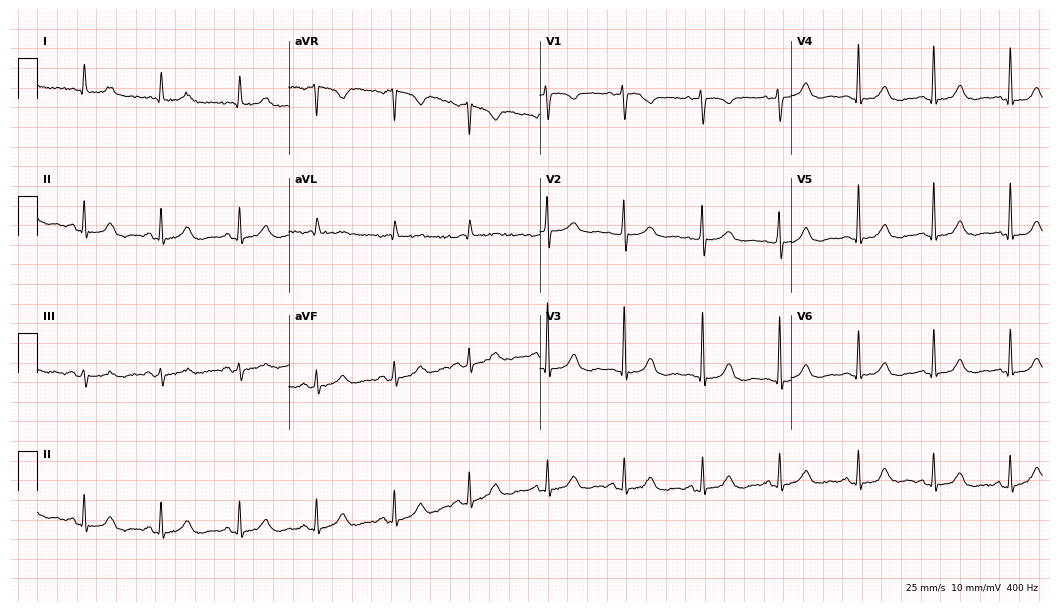
12-lead ECG (10.2-second recording at 400 Hz) from a female patient, 71 years old. Screened for six findings — first-degree AV block, right bundle branch block (RBBB), left bundle branch block (LBBB), sinus bradycardia, atrial fibrillation (AF), sinus tachycardia — none is recorded. Other findings, if any, are not listed.